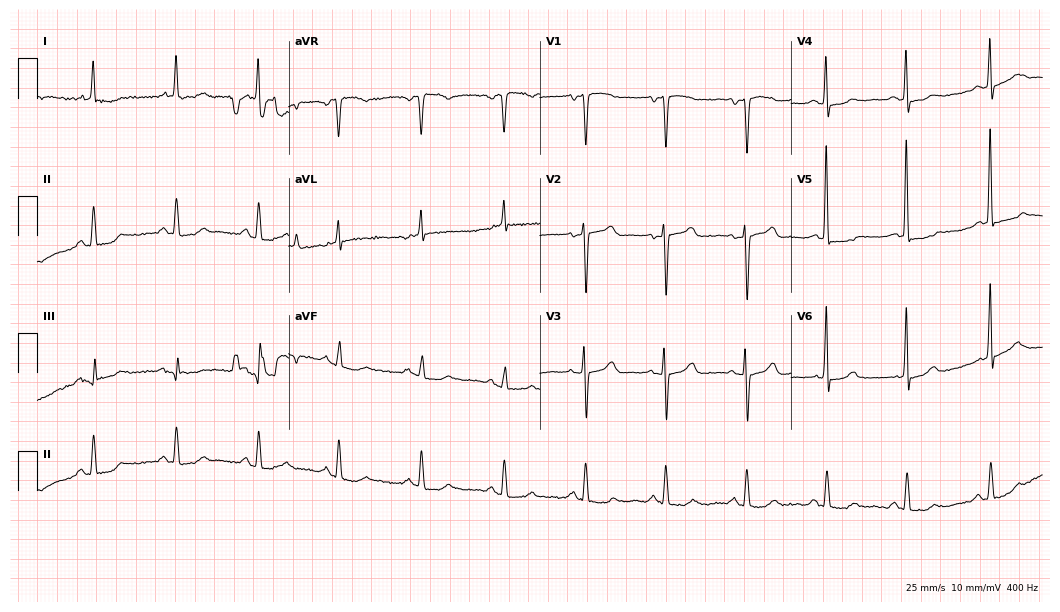
Electrocardiogram, a woman, 84 years old. Of the six screened findings (first-degree AV block, right bundle branch block (RBBB), left bundle branch block (LBBB), sinus bradycardia, atrial fibrillation (AF), sinus tachycardia), none is recorded. Only these six findings were labelled.